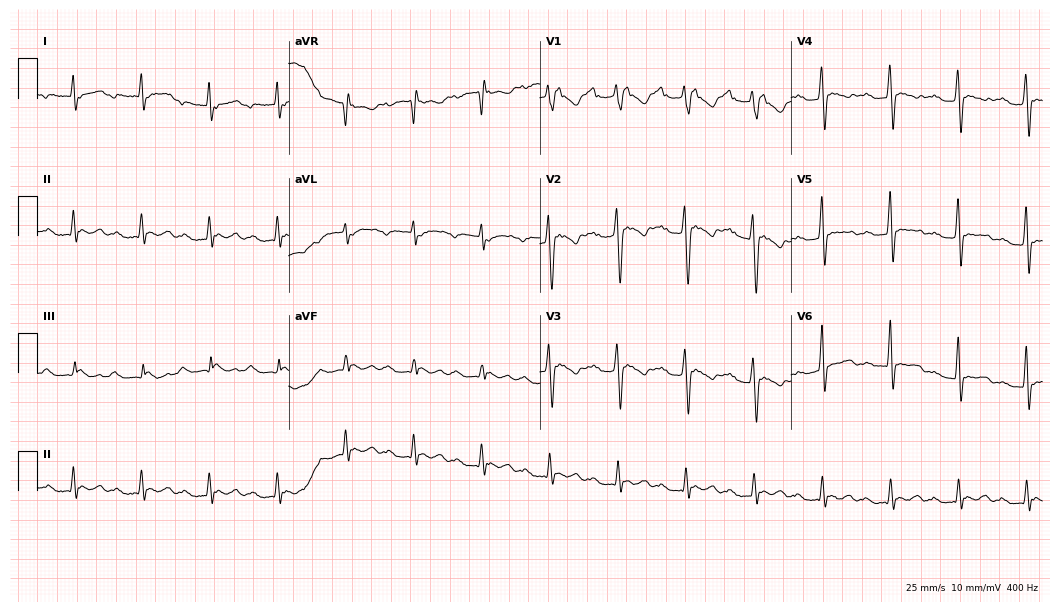
12-lead ECG from a male, 45 years old (10.2-second recording at 400 Hz). No first-degree AV block, right bundle branch block, left bundle branch block, sinus bradycardia, atrial fibrillation or sinus tachycardia recorded for this tracing.